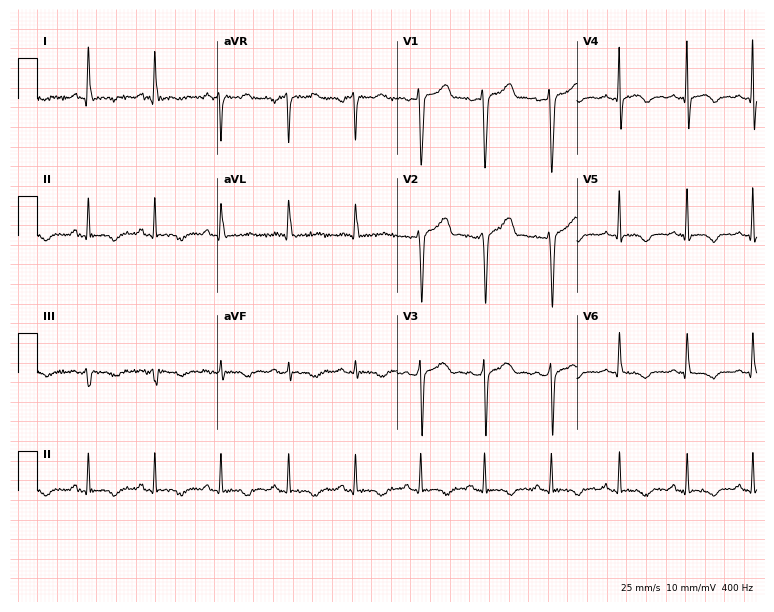
Standard 12-lead ECG recorded from a woman, 41 years old. Read as a normal ECG.